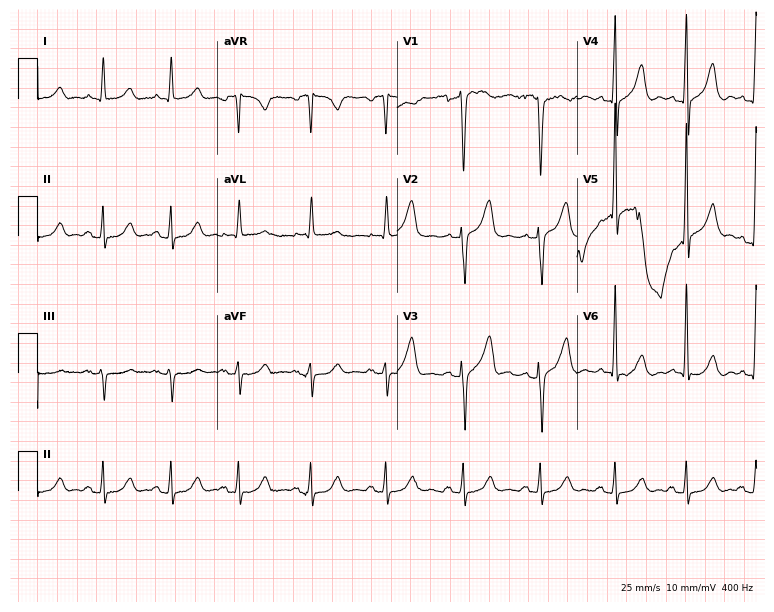
Resting 12-lead electrocardiogram (7.3-second recording at 400 Hz). Patient: a male, 49 years old. None of these six findings is recorded: first-degree AV block, right bundle branch block, left bundle branch block, sinus bradycardia, atrial fibrillation, sinus tachycardia. Findings outside these six are not listed.